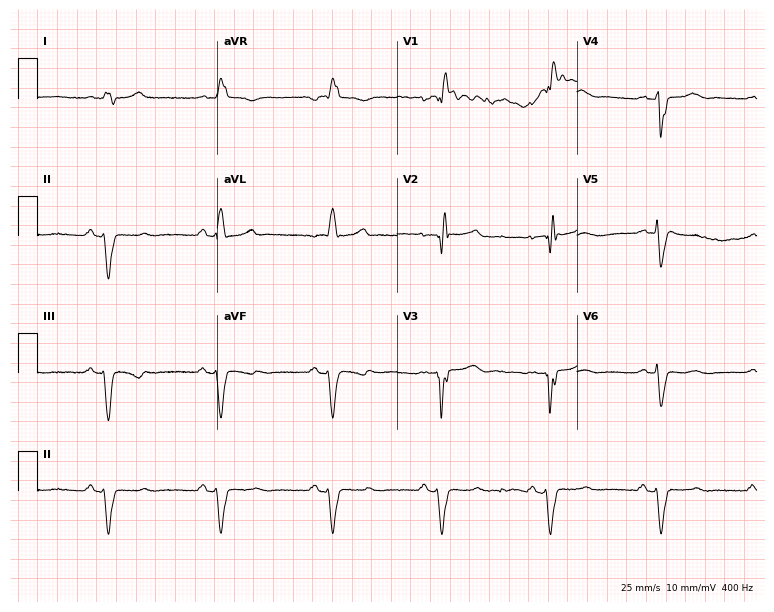
Resting 12-lead electrocardiogram (7.3-second recording at 400 Hz). Patient: a female, 80 years old. The tracing shows right bundle branch block (RBBB).